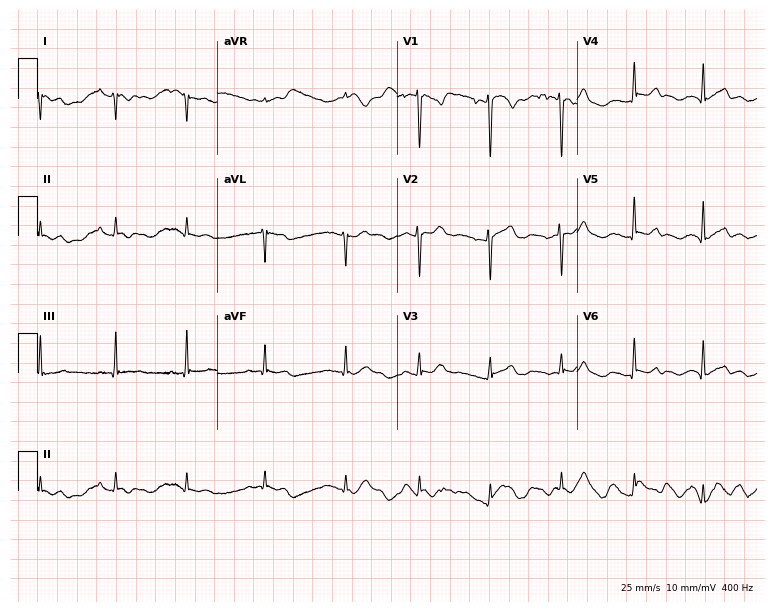
Electrocardiogram (7.3-second recording at 400 Hz), a female, 22 years old. Of the six screened findings (first-degree AV block, right bundle branch block (RBBB), left bundle branch block (LBBB), sinus bradycardia, atrial fibrillation (AF), sinus tachycardia), none is recorded.